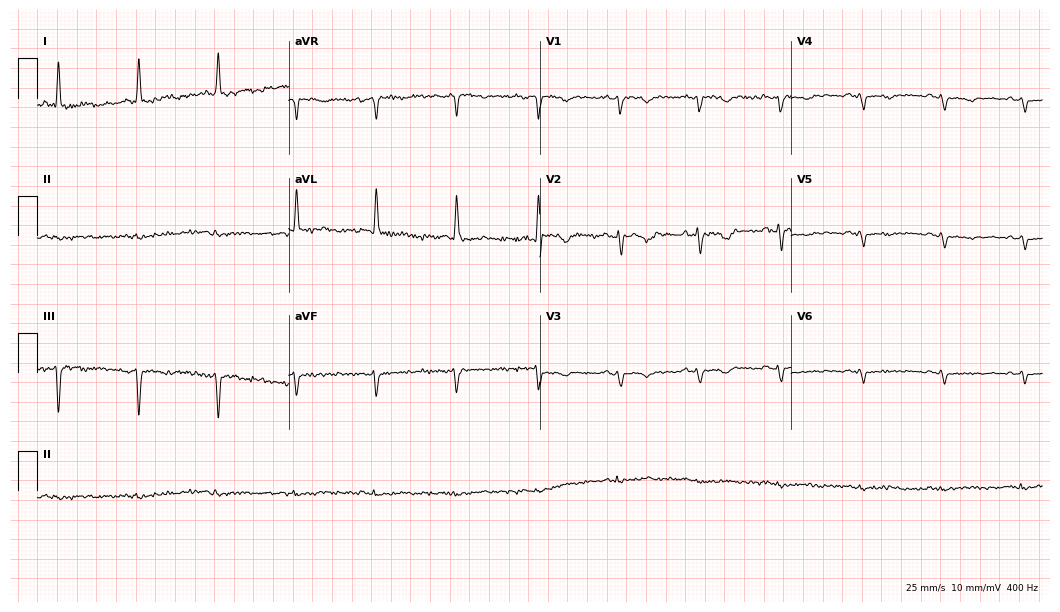
Standard 12-lead ECG recorded from a female patient, 71 years old. None of these six findings is recorded: first-degree AV block, right bundle branch block (RBBB), left bundle branch block (LBBB), sinus bradycardia, atrial fibrillation (AF), sinus tachycardia. Only these six findings were labelled.